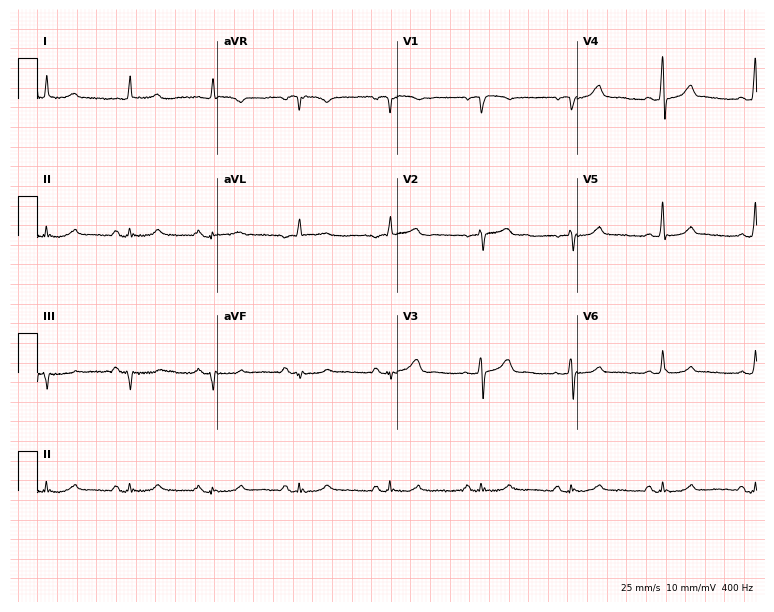
Standard 12-lead ECG recorded from a 66-year-old male patient (7.3-second recording at 400 Hz). Read as a normal ECG.